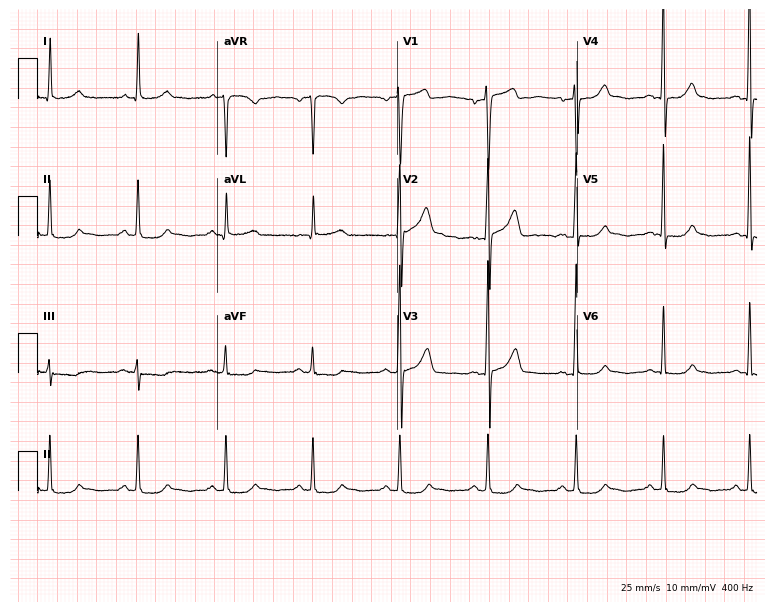
Standard 12-lead ECG recorded from a male patient, 55 years old (7.3-second recording at 400 Hz). Read as a normal ECG.